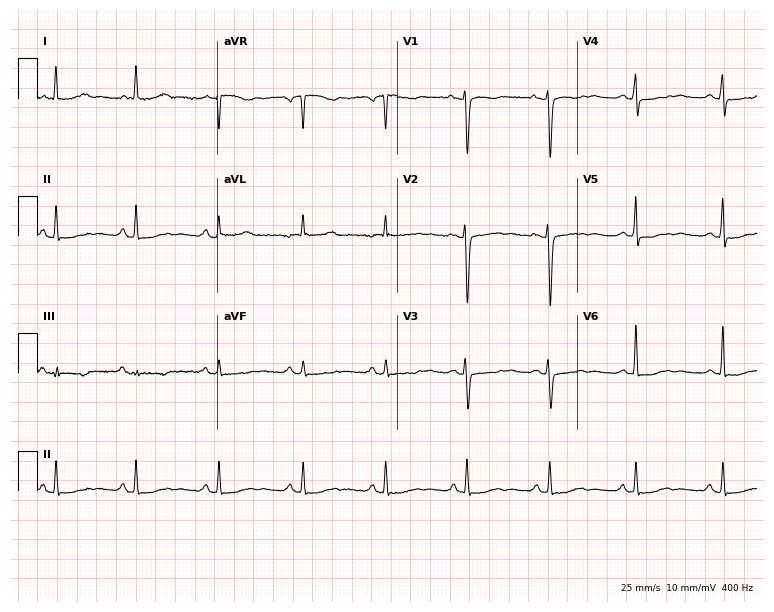
ECG — a 43-year-old woman. Screened for six findings — first-degree AV block, right bundle branch block, left bundle branch block, sinus bradycardia, atrial fibrillation, sinus tachycardia — none is recorded.